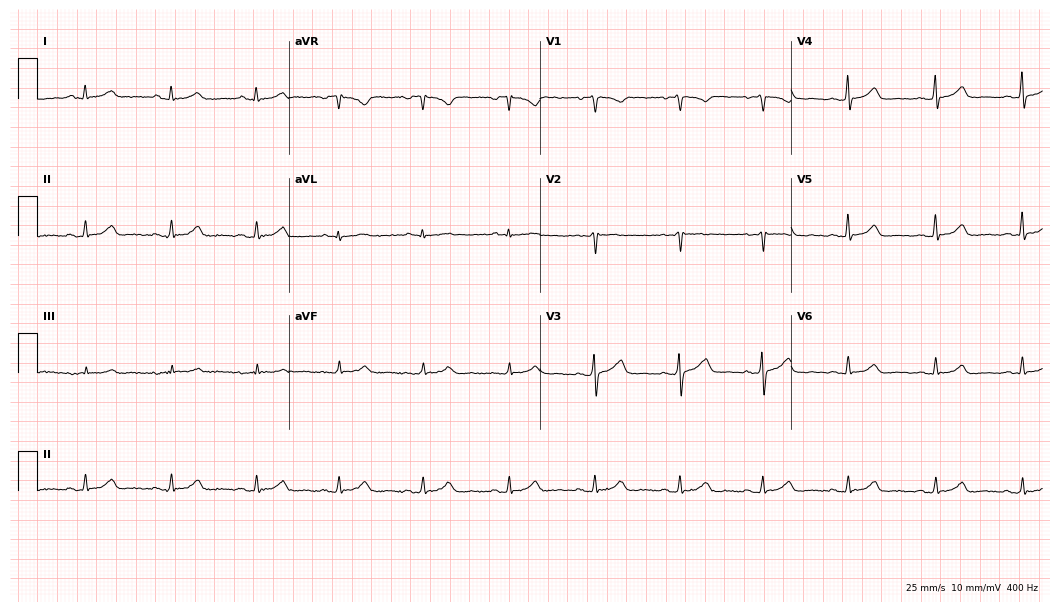
ECG — a 45-year-old woman. Labelled as a normal ECG.